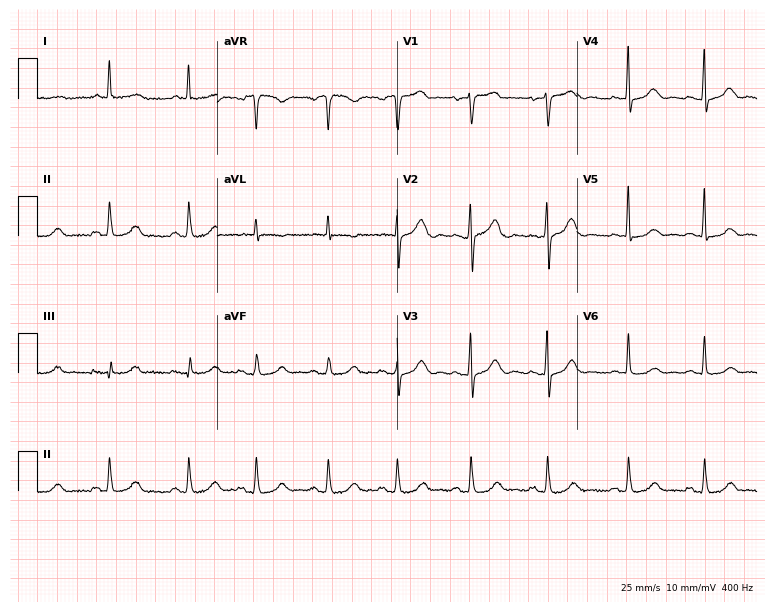
ECG (7.3-second recording at 400 Hz) — a woman, 79 years old. Labelled as a normal ECG.